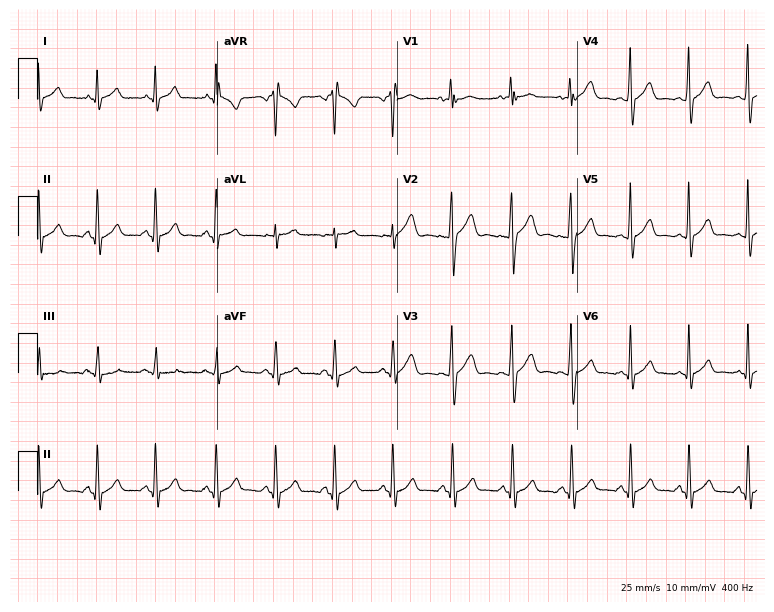
ECG (7.3-second recording at 400 Hz) — a 17-year-old male. Screened for six findings — first-degree AV block, right bundle branch block, left bundle branch block, sinus bradycardia, atrial fibrillation, sinus tachycardia — none is recorded.